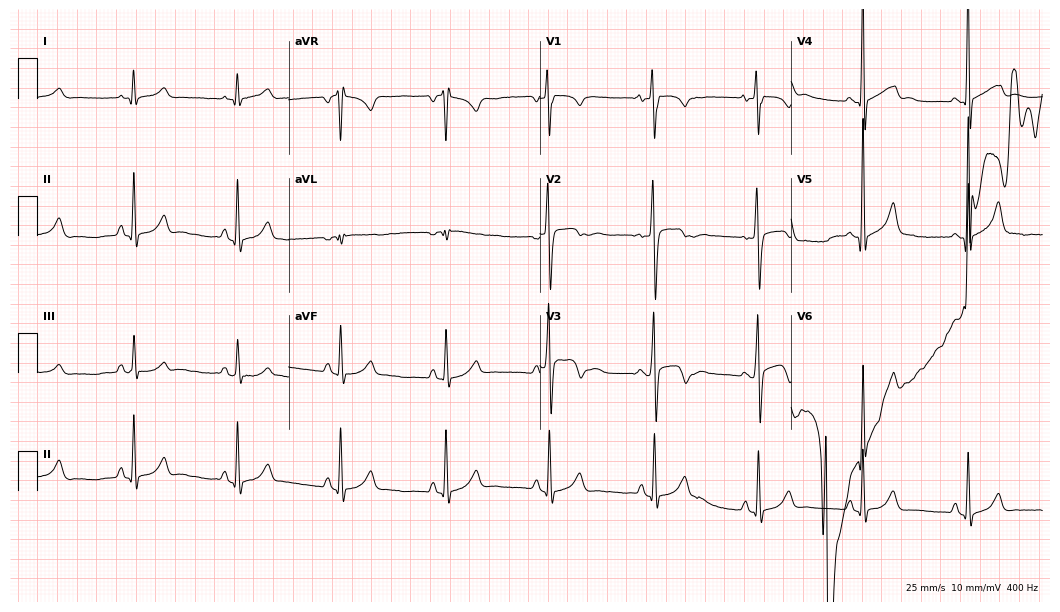
Resting 12-lead electrocardiogram. Patient: a male, 17 years old. Read as a normal ECG.